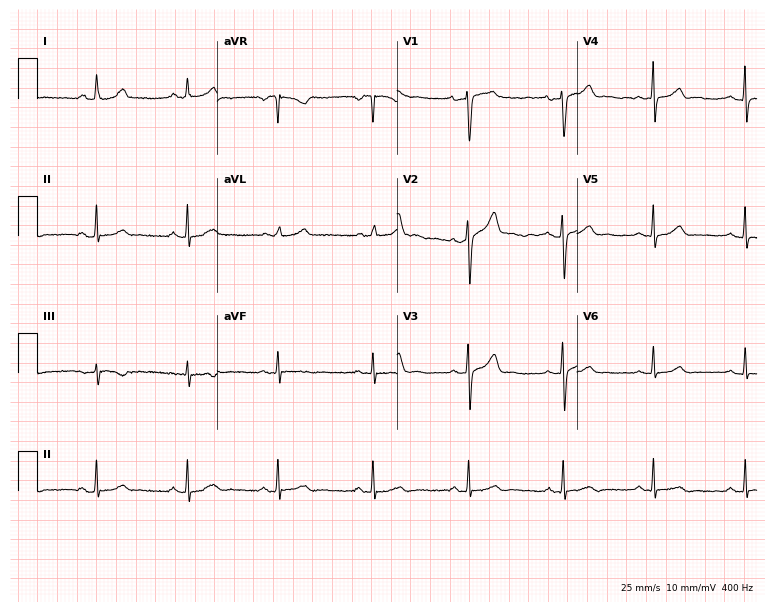
12-lead ECG from a 36-year-old female patient. Labelled as a normal ECG.